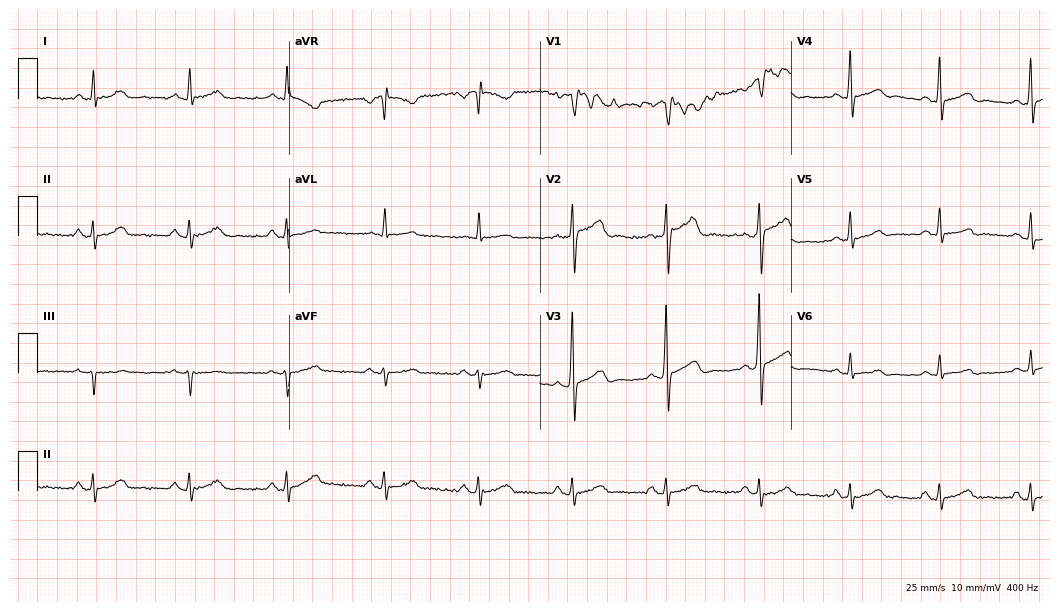
12-lead ECG from a 58-year-old man (10.2-second recording at 400 Hz). No first-degree AV block, right bundle branch block, left bundle branch block, sinus bradycardia, atrial fibrillation or sinus tachycardia recorded for this tracing. Findings outside these six are not listed.